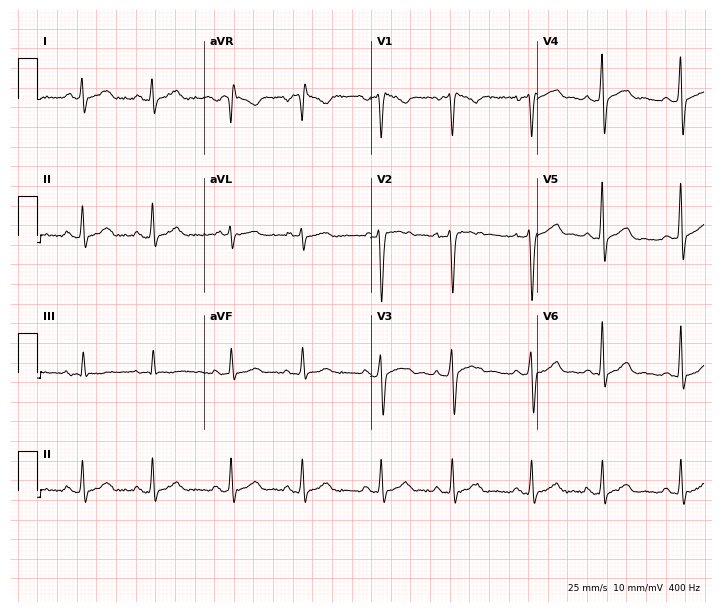
Standard 12-lead ECG recorded from a 29-year-old male patient (6.8-second recording at 400 Hz). None of these six findings is recorded: first-degree AV block, right bundle branch block, left bundle branch block, sinus bradycardia, atrial fibrillation, sinus tachycardia.